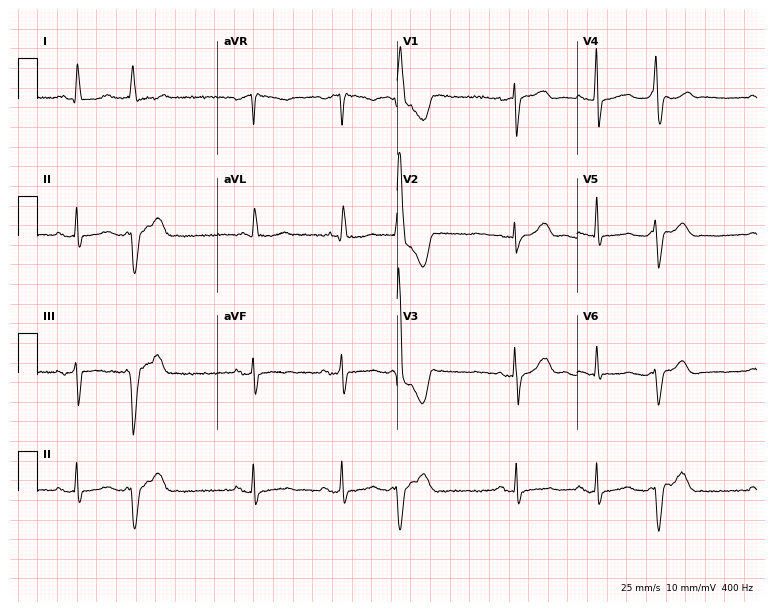
ECG — a female, 62 years old. Screened for six findings — first-degree AV block, right bundle branch block, left bundle branch block, sinus bradycardia, atrial fibrillation, sinus tachycardia — none is recorded.